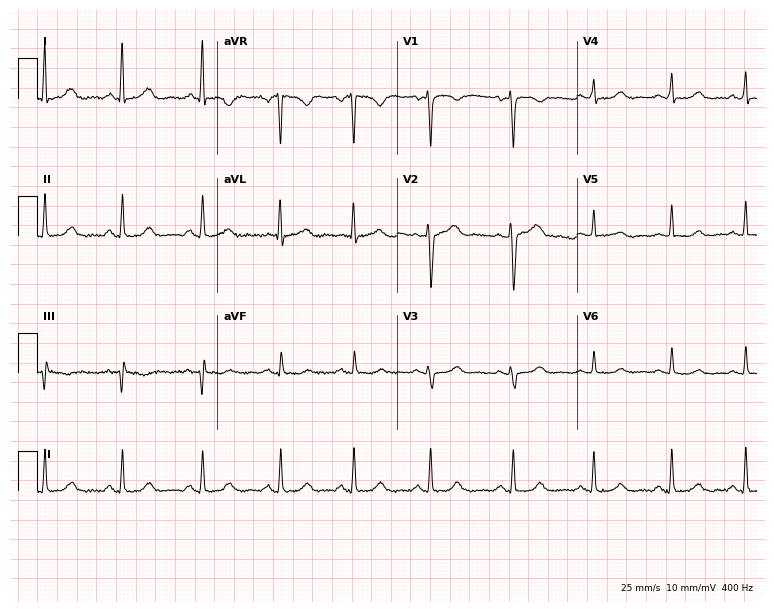
12-lead ECG (7.3-second recording at 400 Hz) from a female, 53 years old. Labelled as a normal ECG.